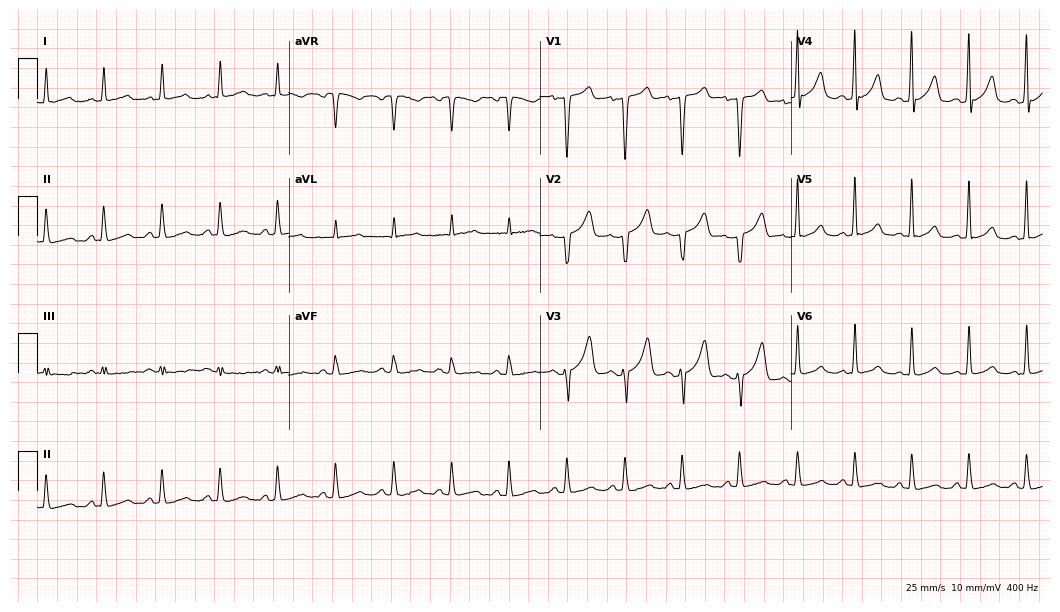
ECG — a female patient, 44 years old. Findings include sinus tachycardia (a sinus rate of 100 beats per minute or more).